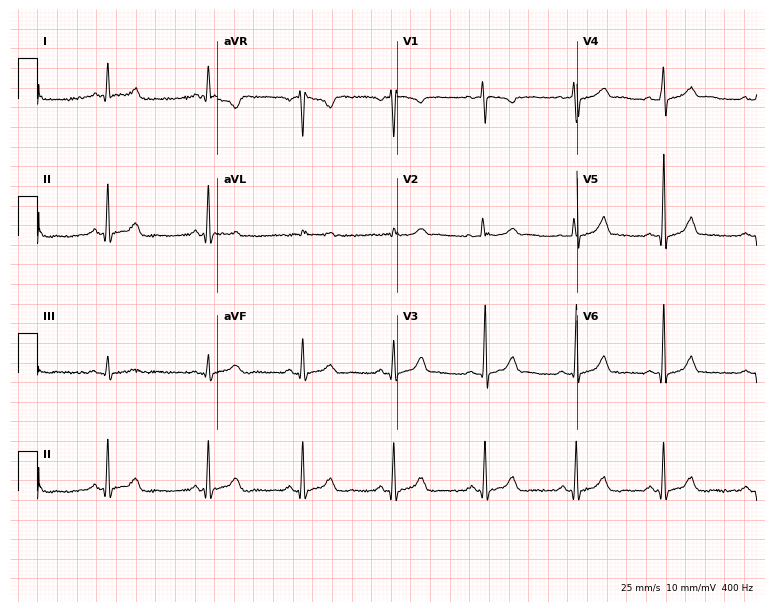
12-lead ECG (7.3-second recording at 400 Hz) from a woman, 34 years old. Labelled as a normal ECG.